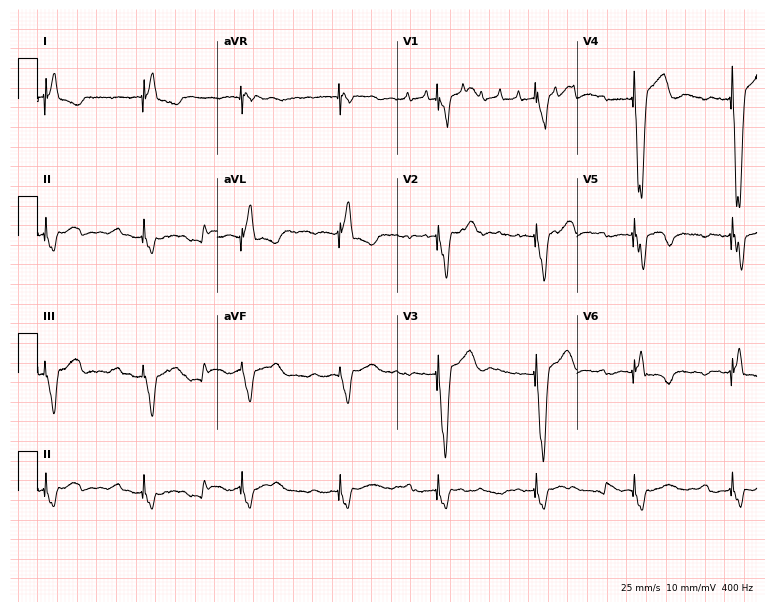
12-lead ECG from an 83-year-old woman (7.3-second recording at 400 Hz). No first-degree AV block, right bundle branch block, left bundle branch block, sinus bradycardia, atrial fibrillation or sinus tachycardia recorded for this tracing.